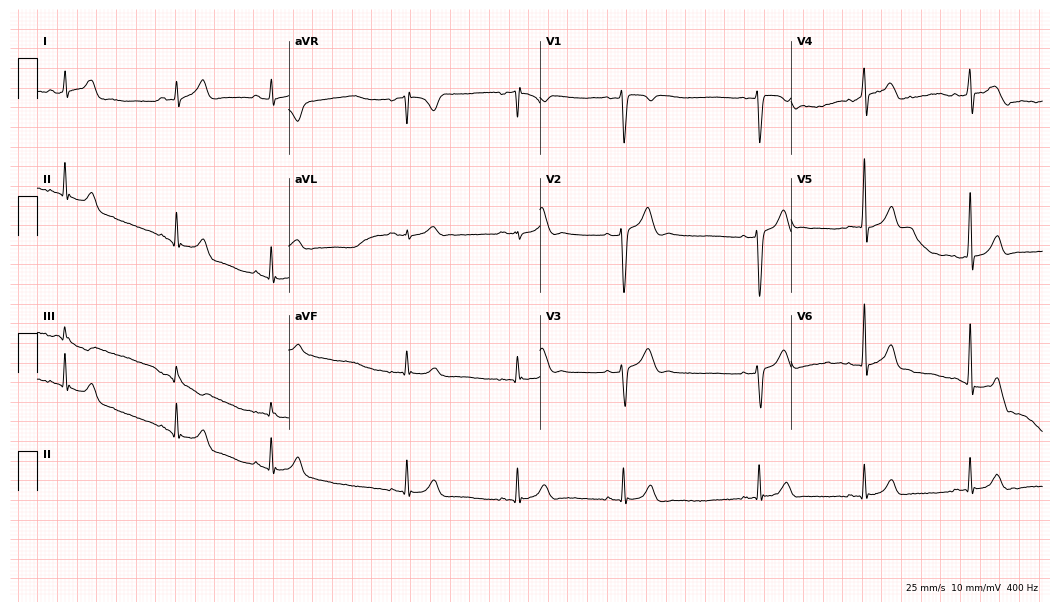
Electrocardiogram (10.2-second recording at 400 Hz), a 19-year-old man. Overall reading on record: normal ECG.